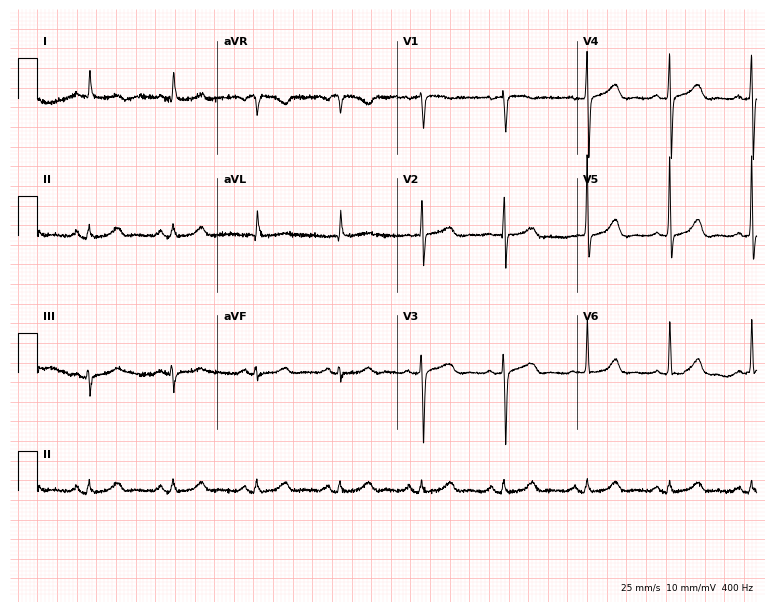
Electrocardiogram (7.3-second recording at 400 Hz), a female, 80 years old. Overall reading on record: normal ECG.